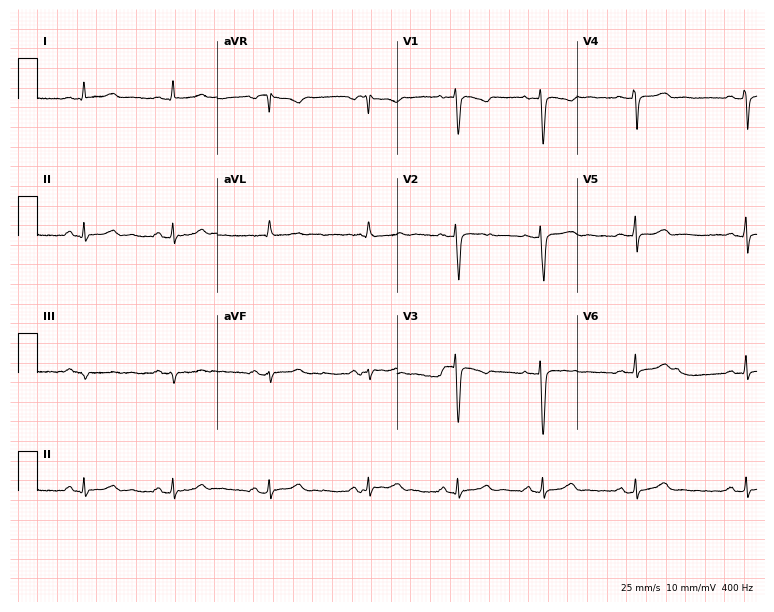
Standard 12-lead ECG recorded from a female patient, 37 years old. None of these six findings is recorded: first-degree AV block, right bundle branch block, left bundle branch block, sinus bradycardia, atrial fibrillation, sinus tachycardia.